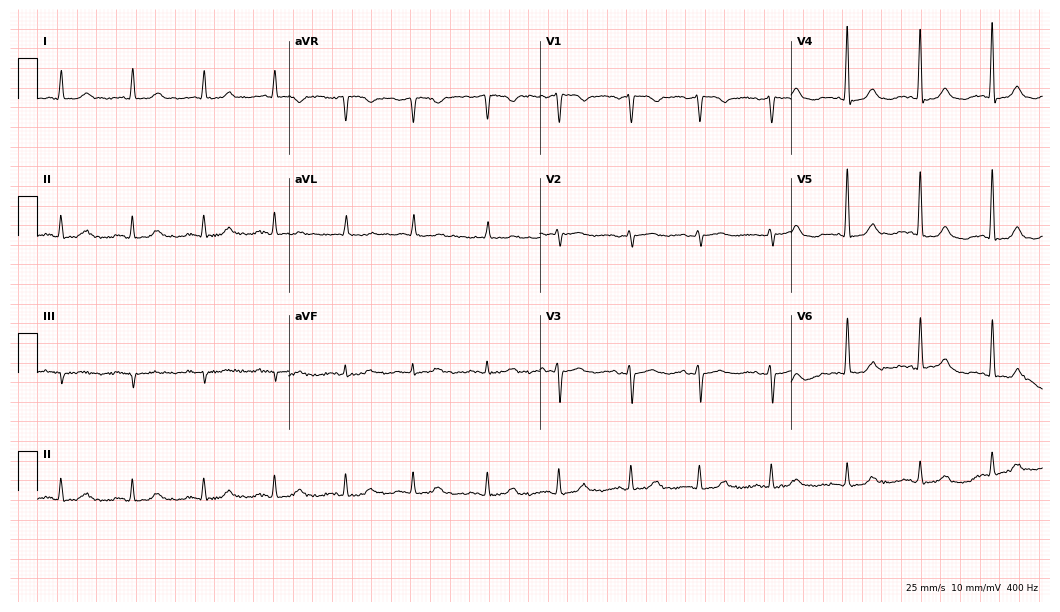
12-lead ECG from a woman, 62 years old (10.2-second recording at 400 Hz). Recorded interpretation: within normal limits.